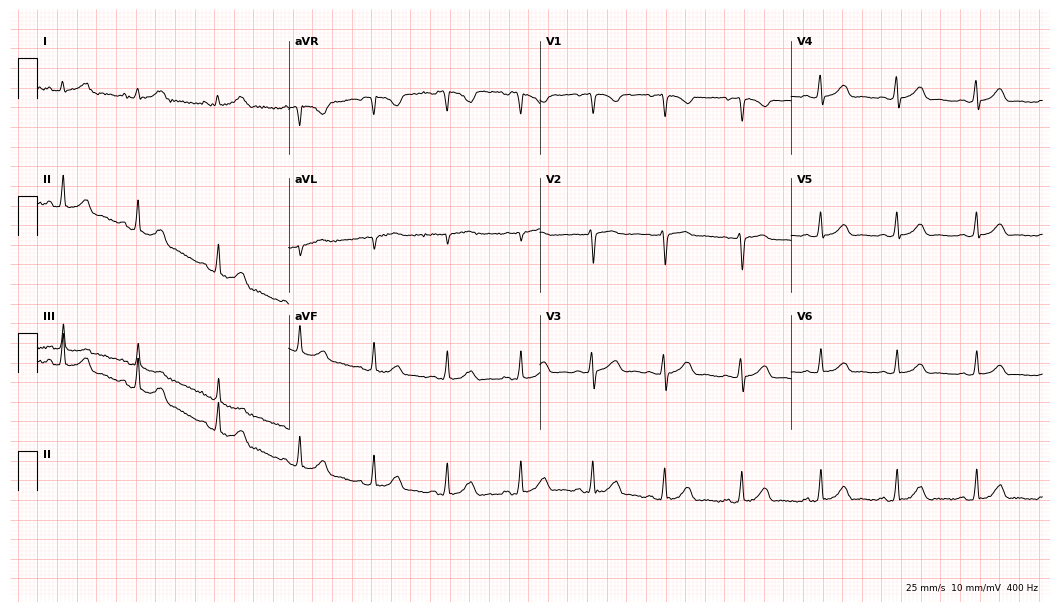
Electrocardiogram (10.2-second recording at 400 Hz), a female patient, 38 years old. Overall reading on record: normal ECG.